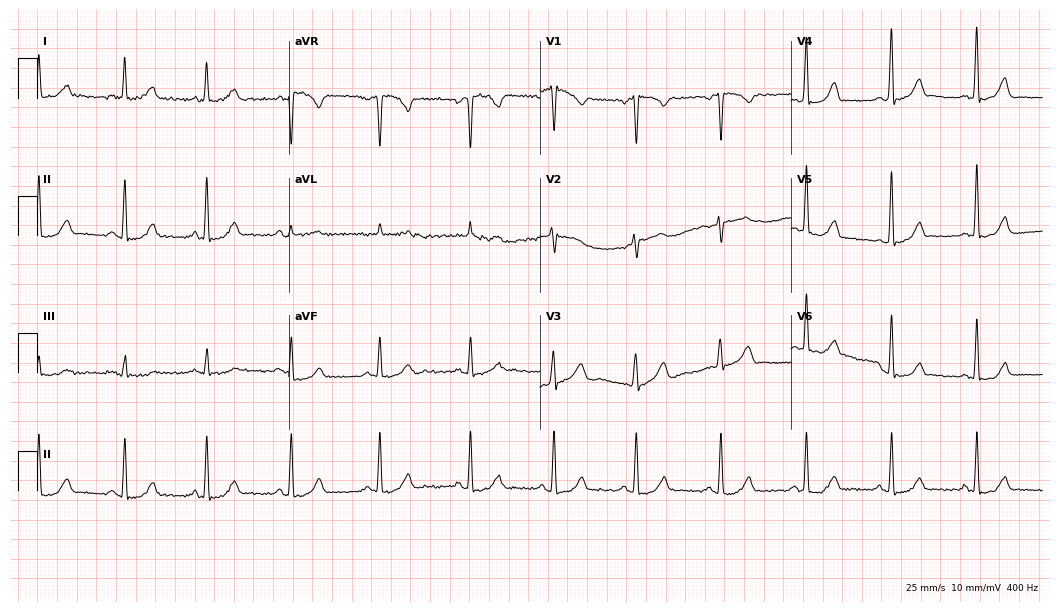
12-lead ECG from a female, 50 years old. Labelled as a normal ECG.